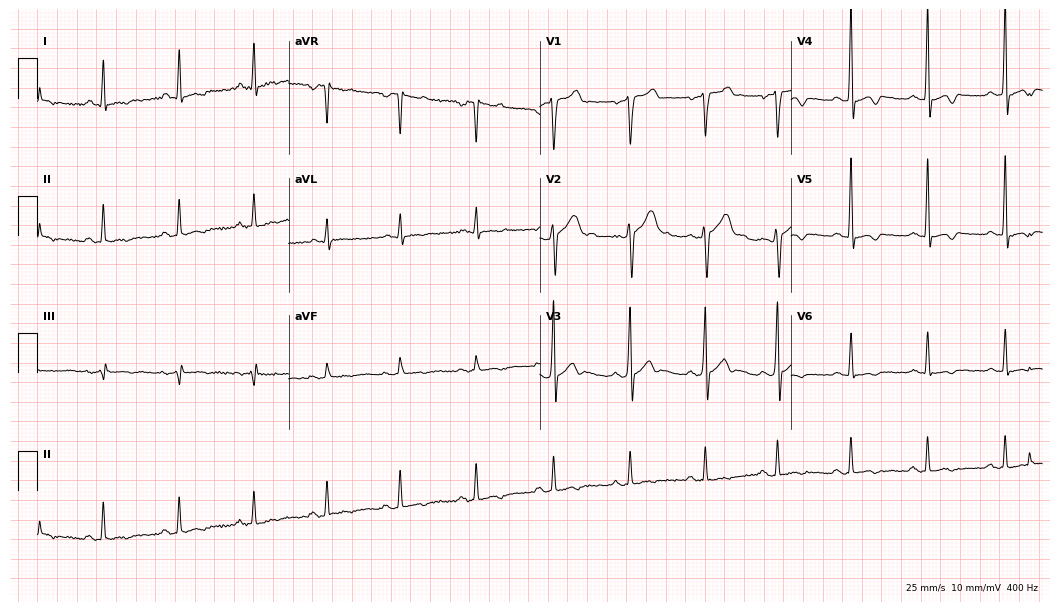
Standard 12-lead ECG recorded from a male patient, 37 years old. None of these six findings is recorded: first-degree AV block, right bundle branch block (RBBB), left bundle branch block (LBBB), sinus bradycardia, atrial fibrillation (AF), sinus tachycardia. Only these six findings were labelled.